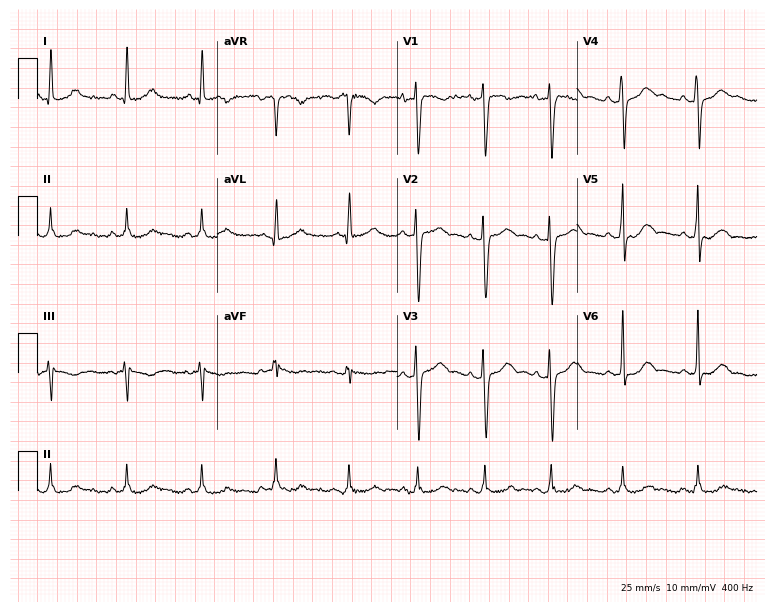
ECG — a 27-year-old woman. Screened for six findings — first-degree AV block, right bundle branch block, left bundle branch block, sinus bradycardia, atrial fibrillation, sinus tachycardia — none is recorded. Findings outside these six are not listed.